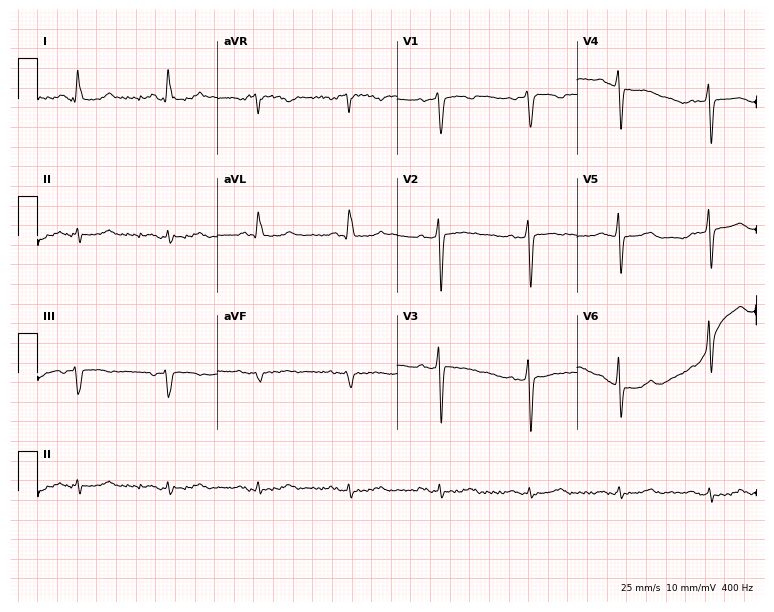
Resting 12-lead electrocardiogram (7.3-second recording at 400 Hz). Patient: a 52-year-old male. None of these six findings is recorded: first-degree AV block, right bundle branch block, left bundle branch block, sinus bradycardia, atrial fibrillation, sinus tachycardia. Only these six findings were labelled.